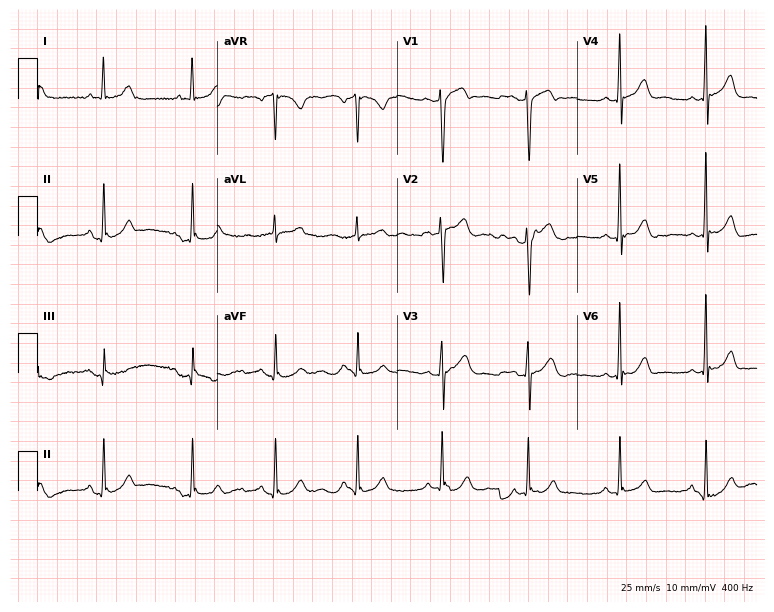
Resting 12-lead electrocardiogram (7.3-second recording at 400 Hz). Patient: a female, 50 years old. Read as a normal ECG.